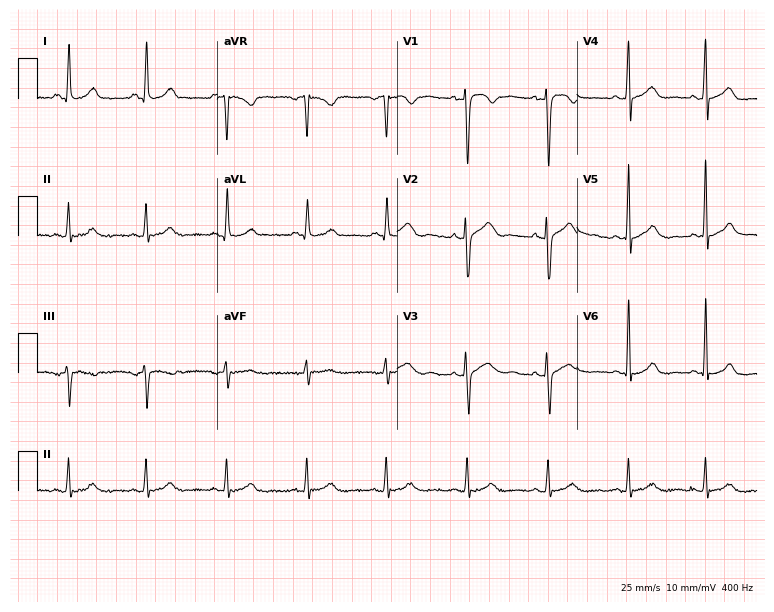
12-lead ECG from a 40-year-old female (7.3-second recording at 400 Hz). No first-degree AV block, right bundle branch block (RBBB), left bundle branch block (LBBB), sinus bradycardia, atrial fibrillation (AF) or sinus tachycardia recorded for this tracing. Other findings, if any, are not listed.